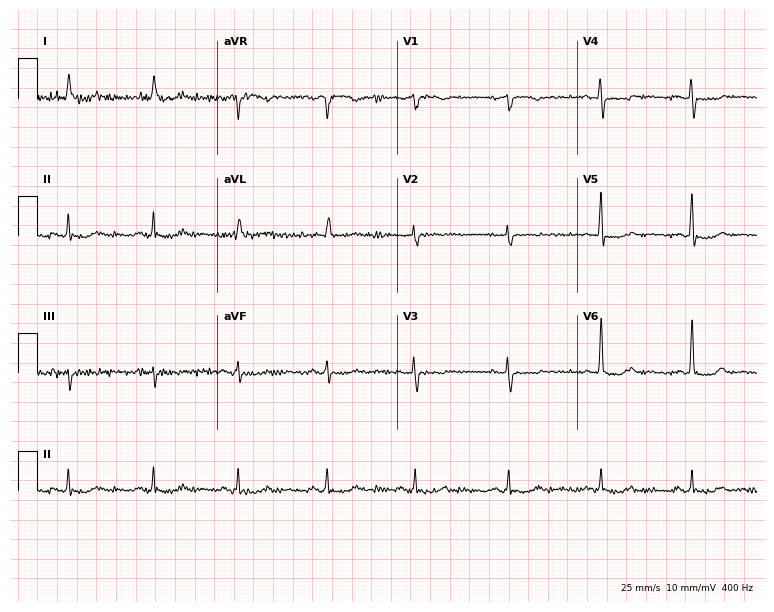
Electrocardiogram (7.3-second recording at 400 Hz), a 78-year-old woman. Of the six screened findings (first-degree AV block, right bundle branch block (RBBB), left bundle branch block (LBBB), sinus bradycardia, atrial fibrillation (AF), sinus tachycardia), none is recorded. Other findings, if any, are not listed.